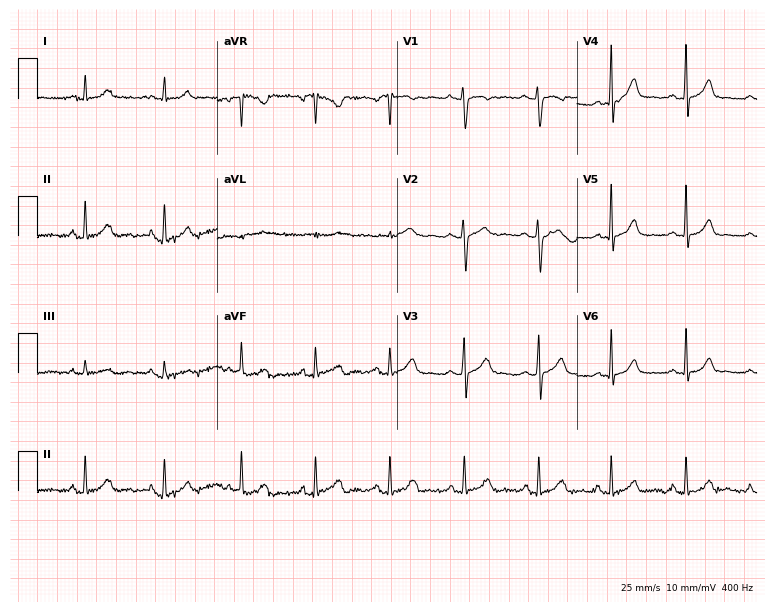
ECG (7.3-second recording at 400 Hz) — a female, 17 years old. Labelled as a normal ECG.